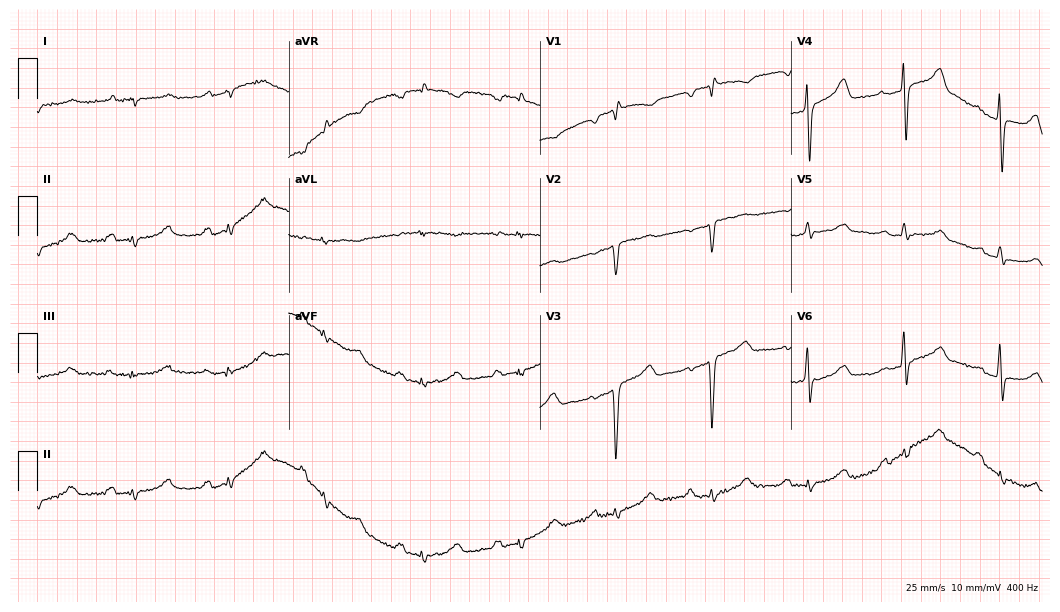
Standard 12-lead ECG recorded from a male, 53 years old. The tracing shows first-degree AV block.